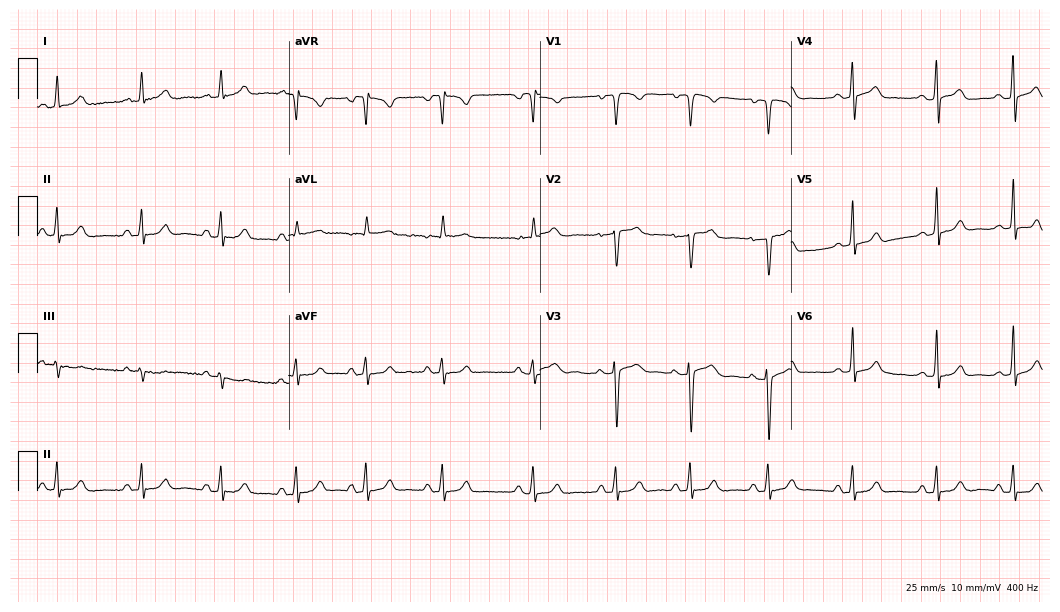
Resting 12-lead electrocardiogram. Patient: a 34-year-old female. None of these six findings is recorded: first-degree AV block, right bundle branch block, left bundle branch block, sinus bradycardia, atrial fibrillation, sinus tachycardia. Only these six findings were labelled.